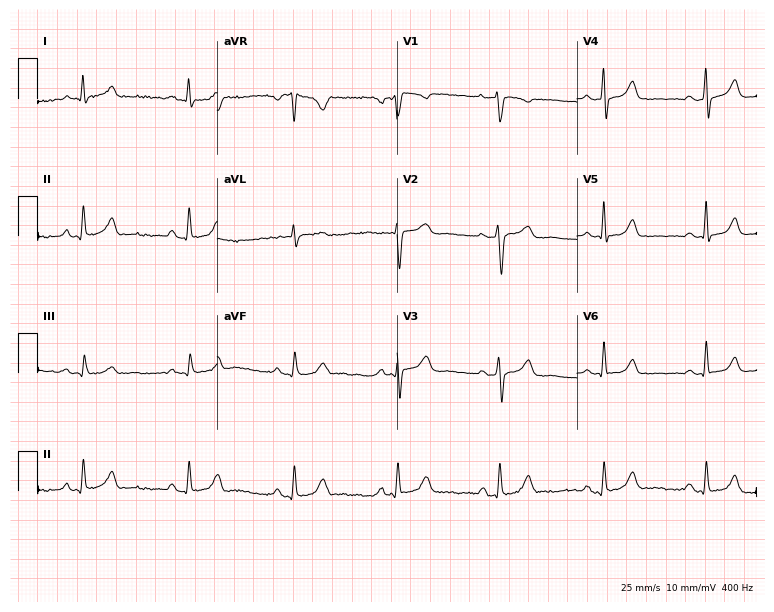
Standard 12-lead ECG recorded from a woman, 50 years old. None of these six findings is recorded: first-degree AV block, right bundle branch block (RBBB), left bundle branch block (LBBB), sinus bradycardia, atrial fibrillation (AF), sinus tachycardia. Other findings, if any, are not listed.